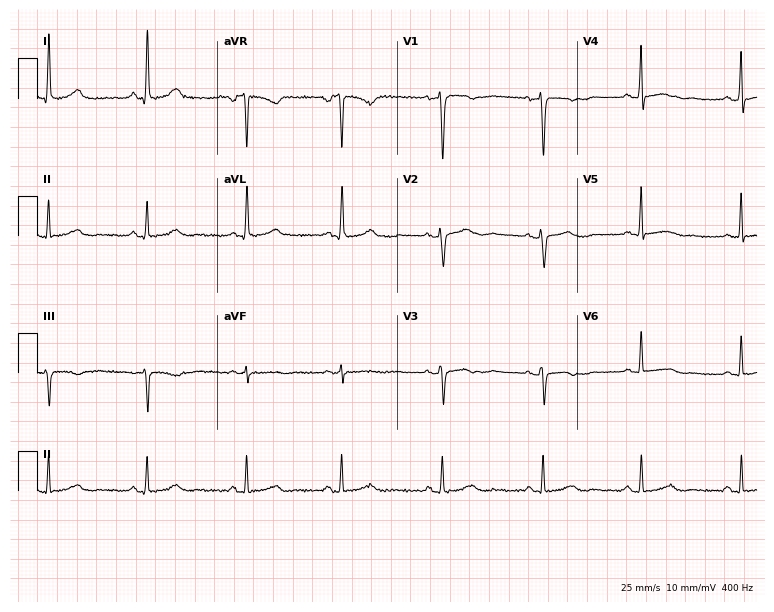
ECG — a 52-year-old female. Screened for six findings — first-degree AV block, right bundle branch block, left bundle branch block, sinus bradycardia, atrial fibrillation, sinus tachycardia — none is recorded.